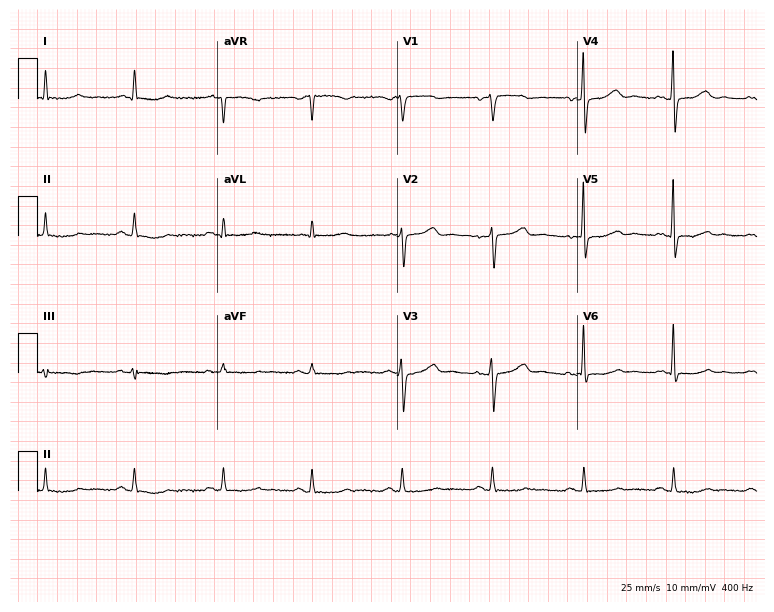
ECG — a 65-year-old female patient. Screened for six findings — first-degree AV block, right bundle branch block, left bundle branch block, sinus bradycardia, atrial fibrillation, sinus tachycardia — none is recorded. Only these six findings were labelled.